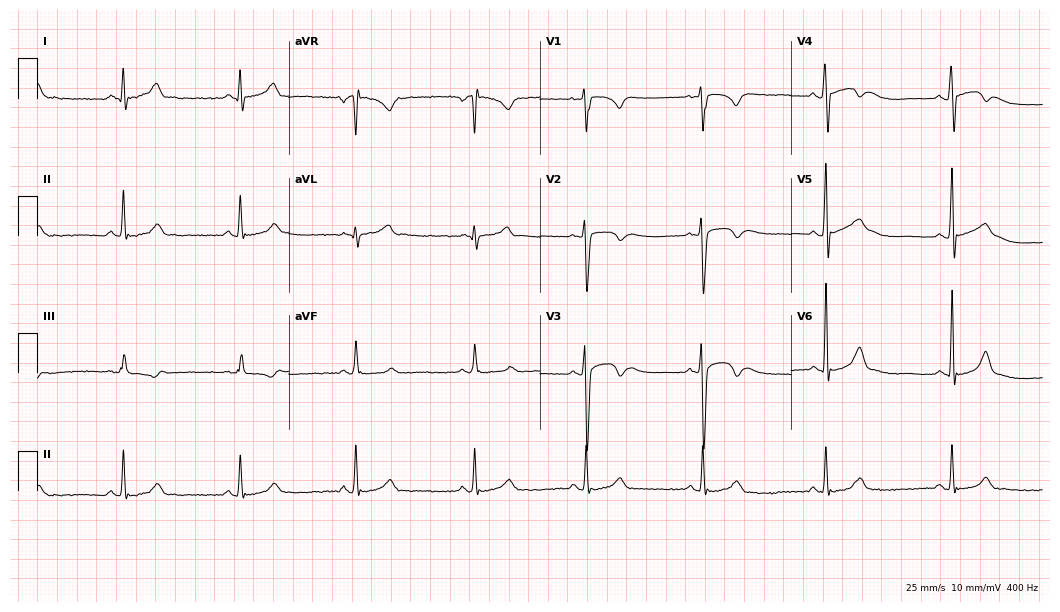
12-lead ECG from a 20-year-old male (10.2-second recording at 400 Hz). Recorded interpretation: within normal limits.